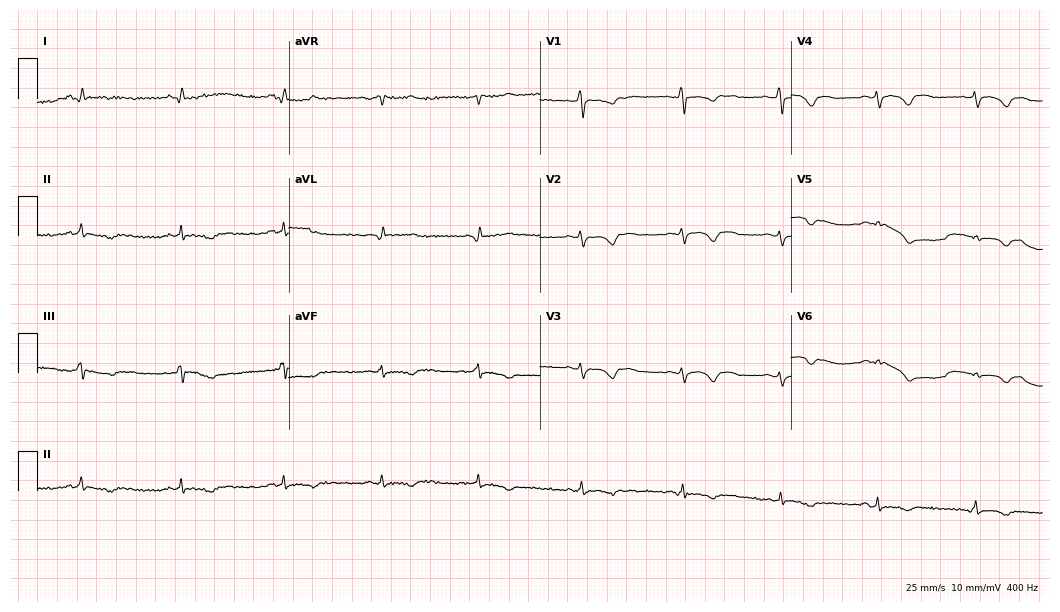
Standard 12-lead ECG recorded from a 44-year-old woman. None of these six findings is recorded: first-degree AV block, right bundle branch block, left bundle branch block, sinus bradycardia, atrial fibrillation, sinus tachycardia.